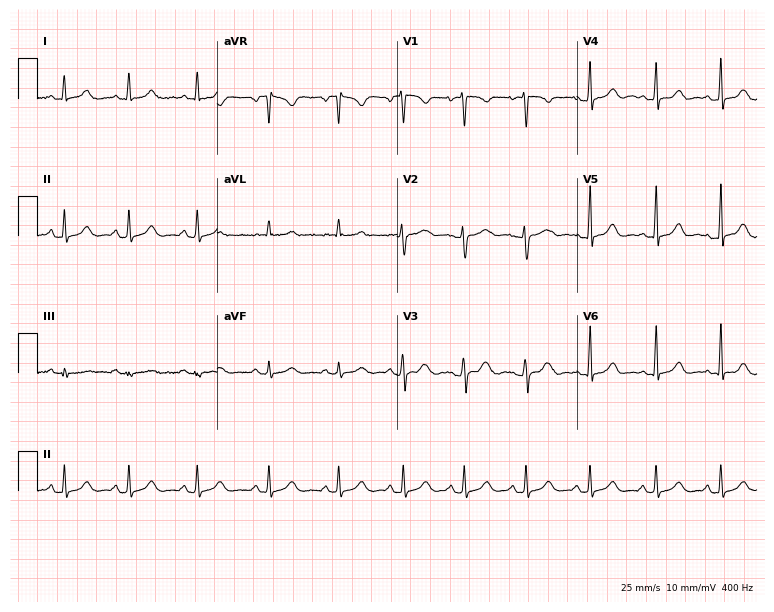
Resting 12-lead electrocardiogram. Patient: a woman, 31 years old. Read as a normal ECG.